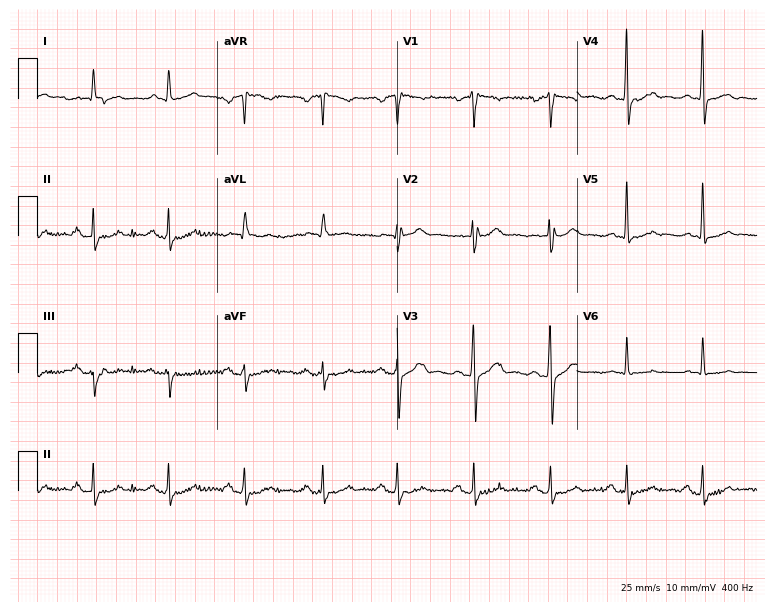
12-lead ECG from a 53-year-old male patient. Recorded interpretation: within normal limits.